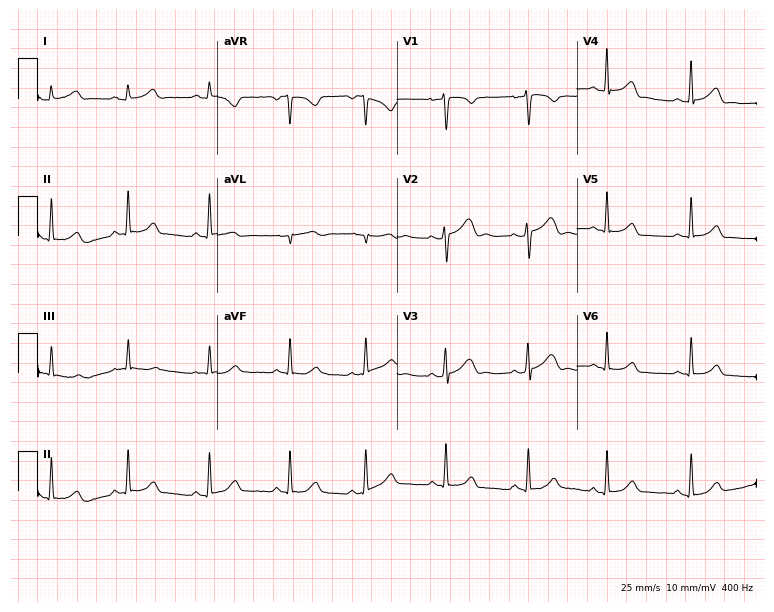
12-lead ECG from a 24-year-old woman (7.3-second recording at 400 Hz). No first-degree AV block, right bundle branch block (RBBB), left bundle branch block (LBBB), sinus bradycardia, atrial fibrillation (AF) or sinus tachycardia recorded for this tracing.